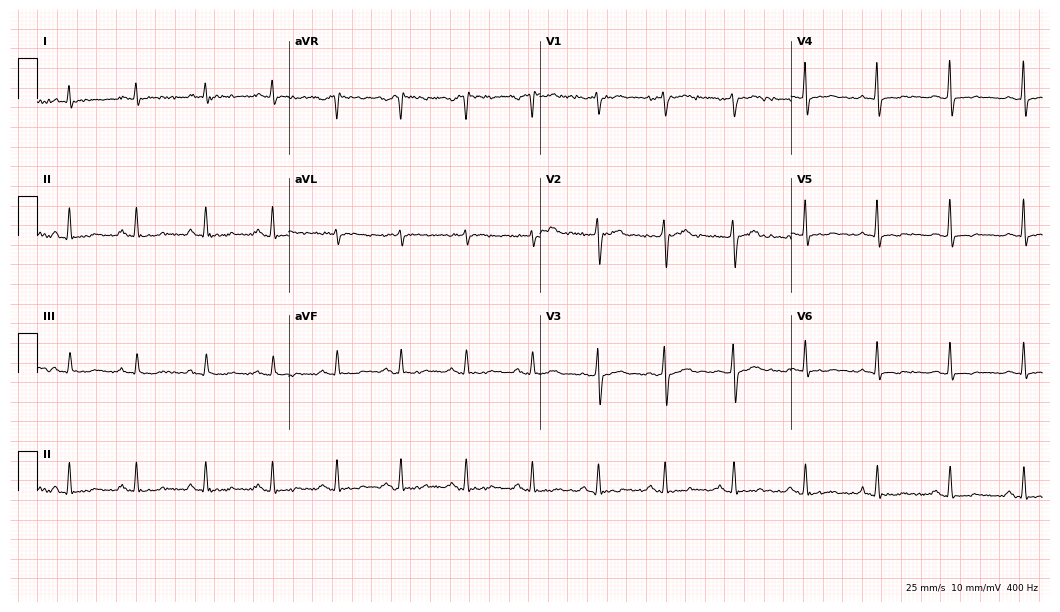
12-lead ECG from a male, 41 years old. Screened for six findings — first-degree AV block, right bundle branch block, left bundle branch block, sinus bradycardia, atrial fibrillation, sinus tachycardia — none is recorded. Only these six findings were labelled.